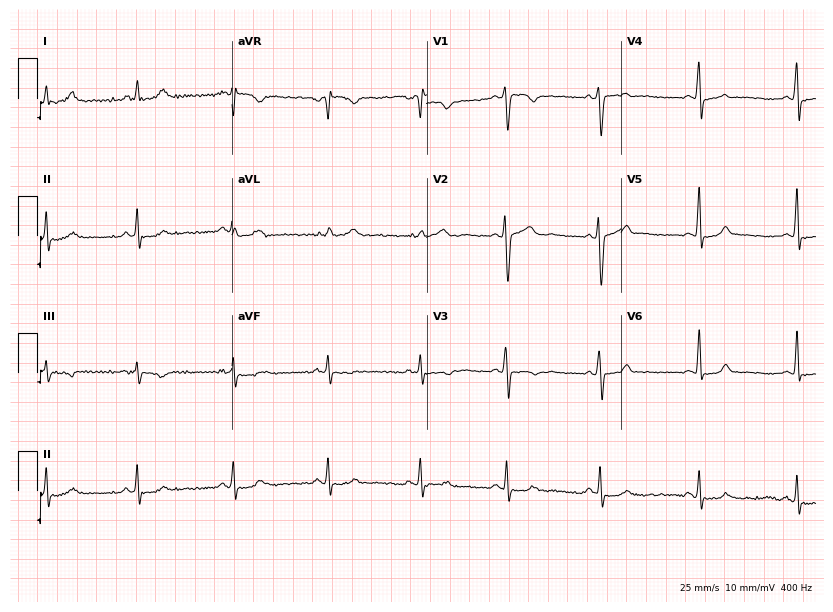
Standard 12-lead ECG recorded from a 26-year-old woman. None of these six findings is recorded: first-degree AV block, right bundle branch block (RBBB), left bundle branch block (LBBB), sinus bradycardia, atrial fibrillation (AF), sinus tachycardia. Other findings, if any, are not listed.